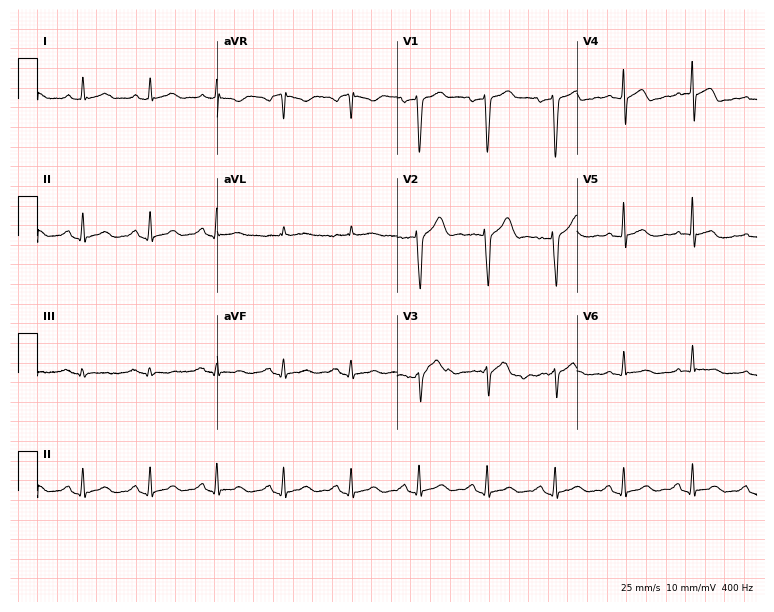
12-lead ECG from a man, 63 years old (7.3-second recording at 400 Hz). Recorded interpretation: within normal limits.